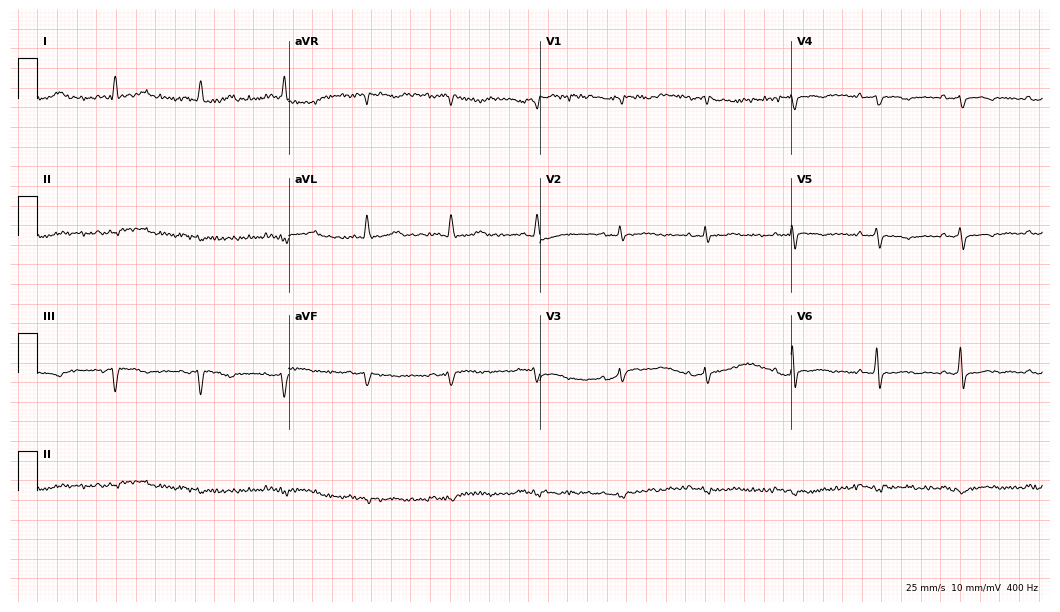
Standard 12-lead ECG recorded from a man, 33 years old. None of these six findings is recorded: first-degree AV block, right bundle branch block, left bundle branch block, sinus bradycardia, atrial fibrillation, sinus tachycardia. Findings outside these six are not listed.